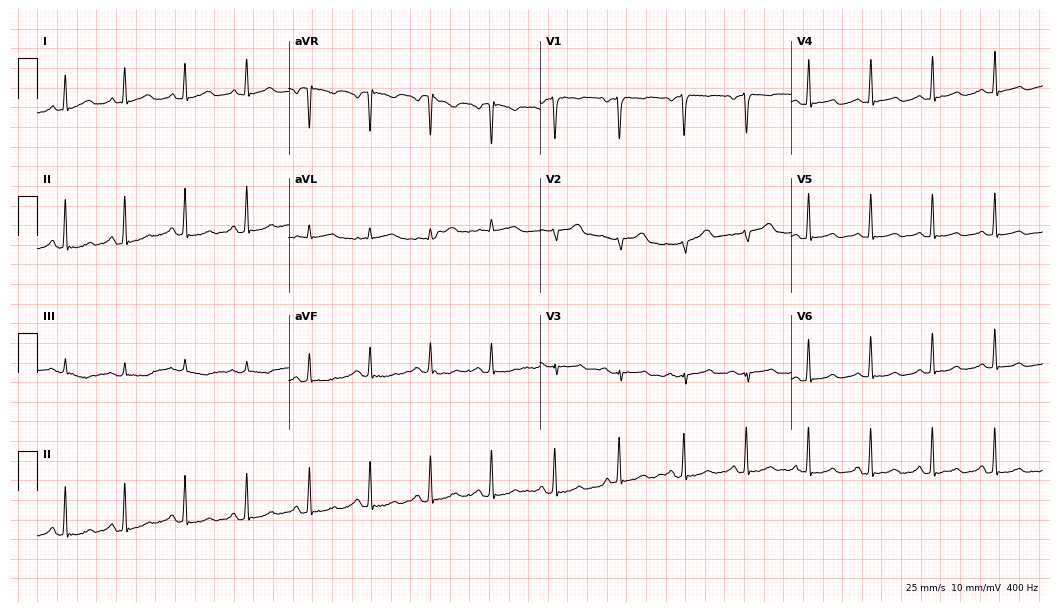
ECG (10.2-second recording at 400 Hz) — a female, 40 years old. Labelled as a normal ECG.